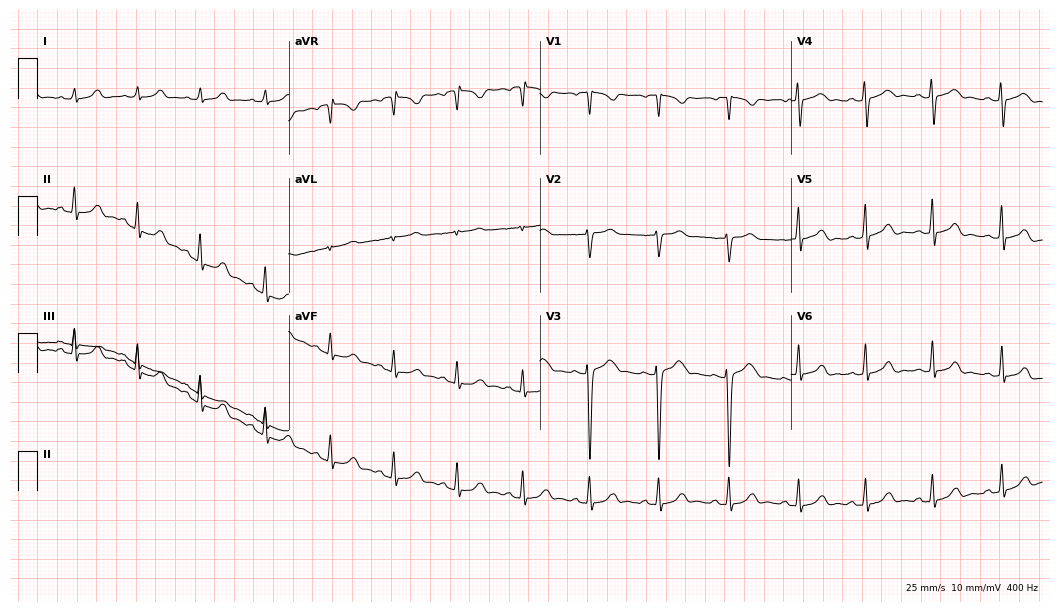
12-lead ECG from a 23-year-old female patient. No first-degree AV block, right bundle branch block, left bundle branch block, sinus bradycardia, atrial fibrillation or sinus tachycardia recorded for this tracing. Findings outside these six are not listed.